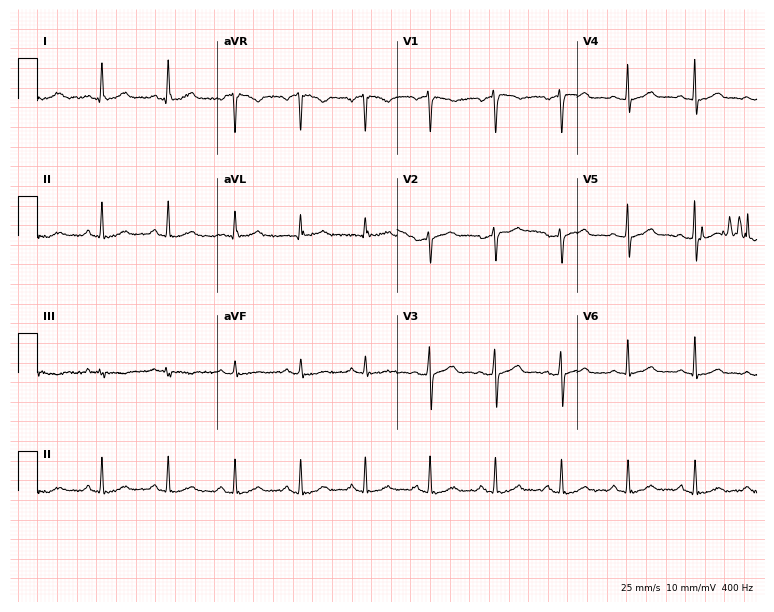
12-lead ECG from a woman, 37 years old (7.3-second recording at 400 Hz). Recorded interpretation: within normal limits.